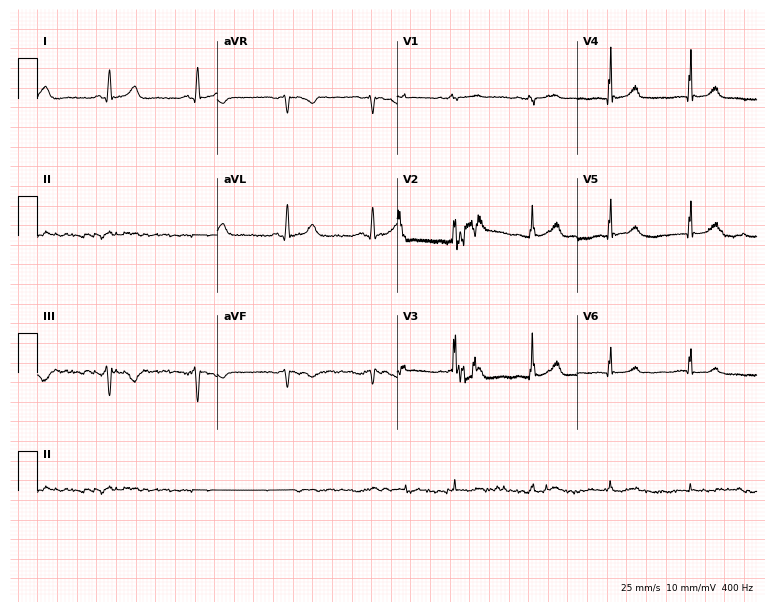
12-lead ECG (7.3-second recording at 400 Hz) from a male patient, 58 years old. Screened for six findings — first-degree AV block, right bundle branch block, left bundle branch block, sinus bradycardia, atrial fibrillation, sinus tachycardia — none is recorded.